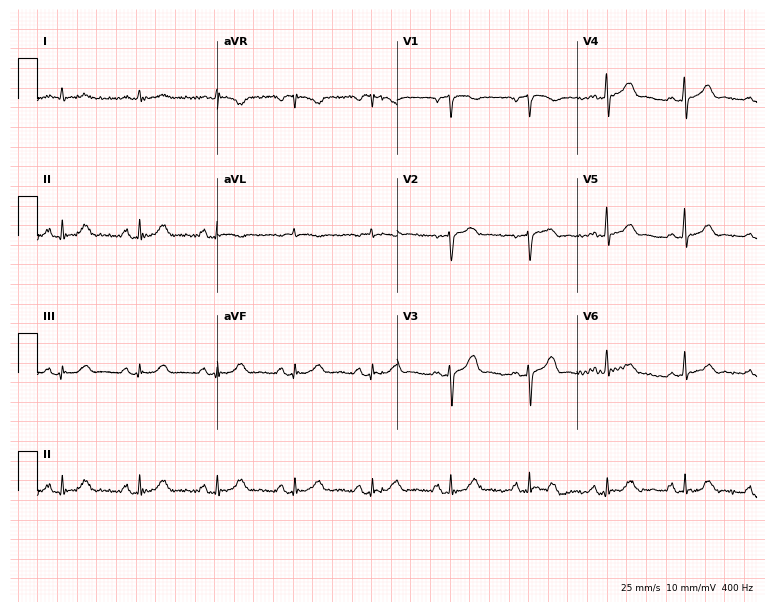
Resting 12-lead electrocardiogram (7.3-second recording at 400 Hz). Patient: a 72-year-old man. None of these six findings is recorded: first-degree AV block, right bundle branch block, left bundle branch block, sinus bradycardia, atrial fibrillation, sinus tachycardia. Findings outside these six are not listed.